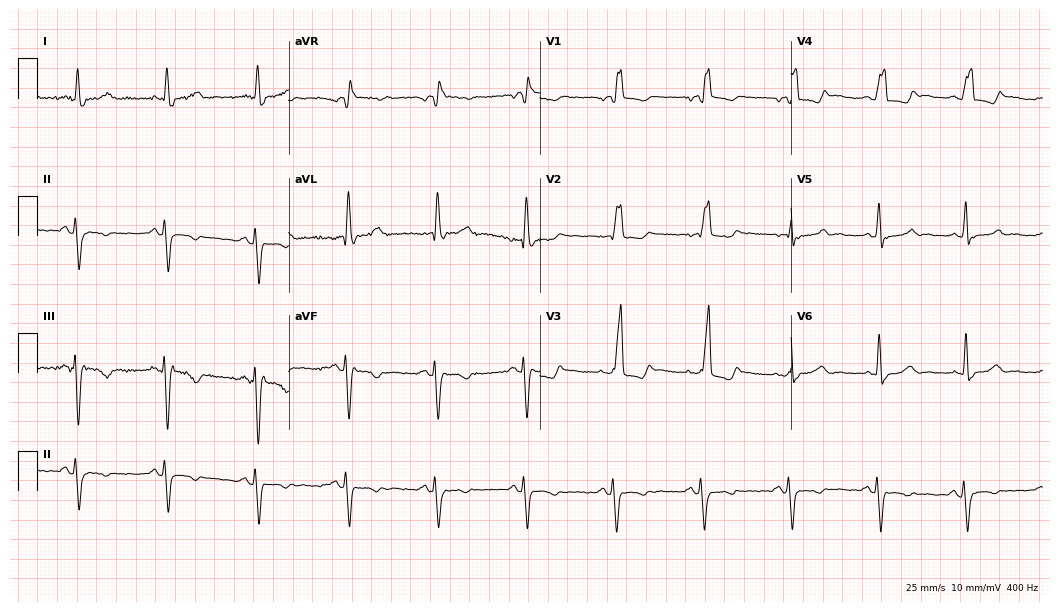
Electrocardiogram (10.2-second recording at 400 Hz), a female, 76 years old. Interpretation includes right bundle branch block.